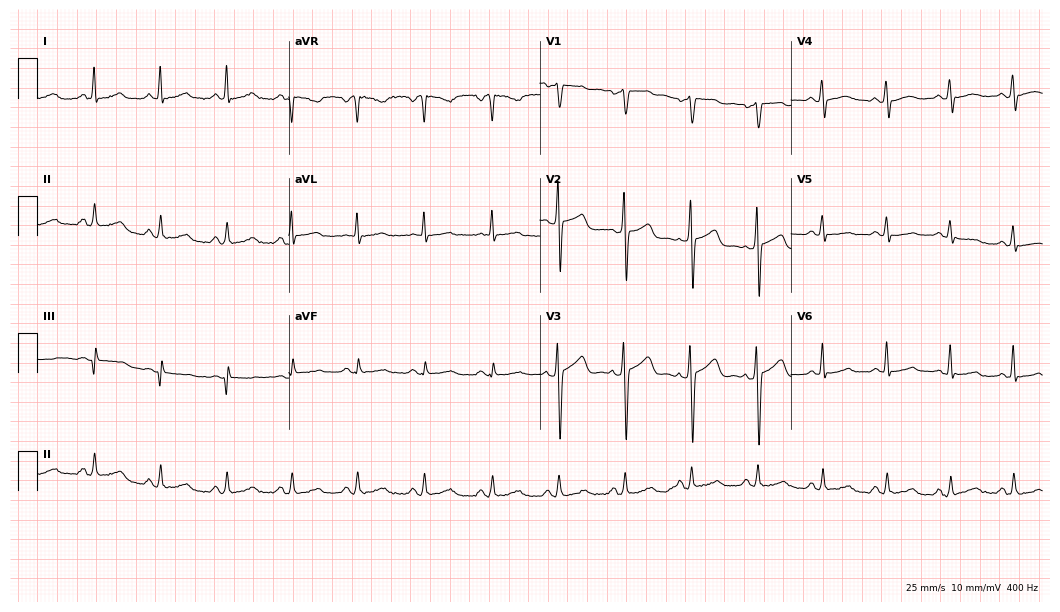
Standard 12-lead ECG recorded from a 44-year-old male. None of these six findings is recorded: first-degree AV block, right bundle branch block, left bundle branch block, sinus bradycardia, atrial fibrillation, sinus tachycardia. Only these six findings were labelled.